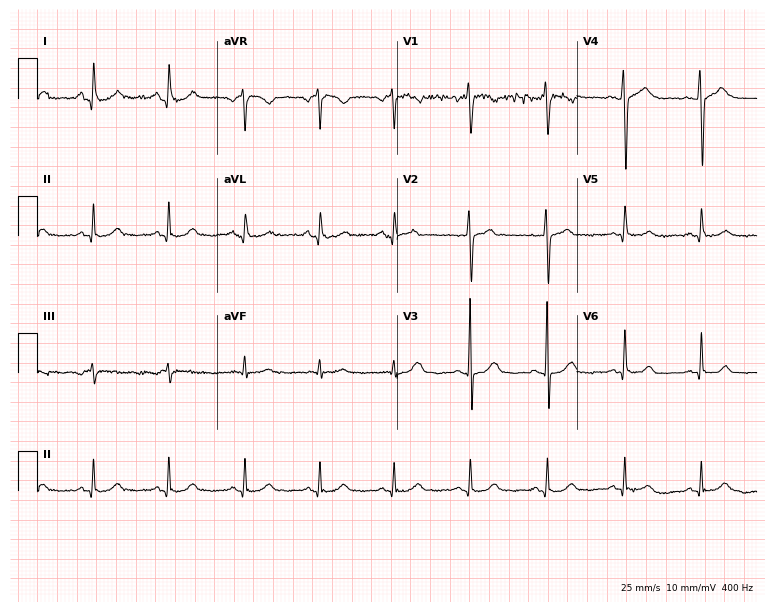
Electrocardiogram, an 85-year-old woman. Of the six screened findings (first-degree AV block, right bundle branch block, left bundle branch block, sinus bradycardia, atrial fibrillation, sinus tachycardia), none is recorded.